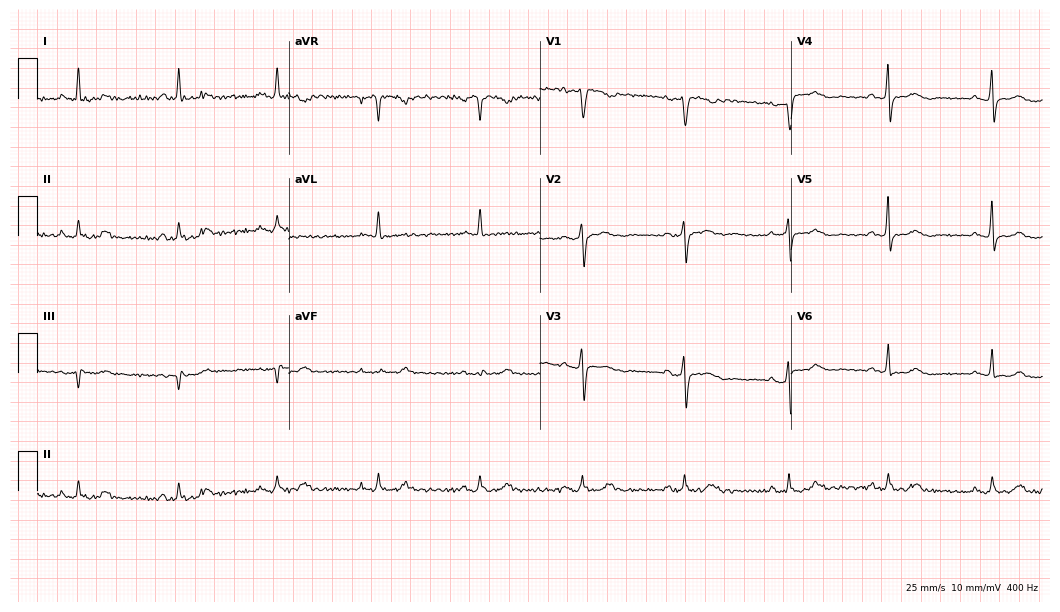
Resting 12-lead electrocardiogram (10.2-second recording at 400 Hz). Patient: a 50-year-old female. Read as a normal ECG.